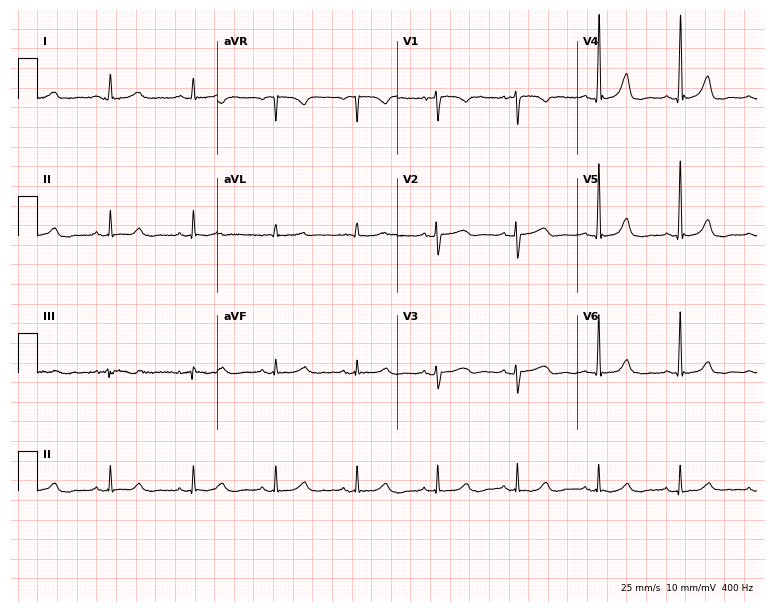
12-lead ECG from a 48-year-old female. Labelled as a normal ECG.